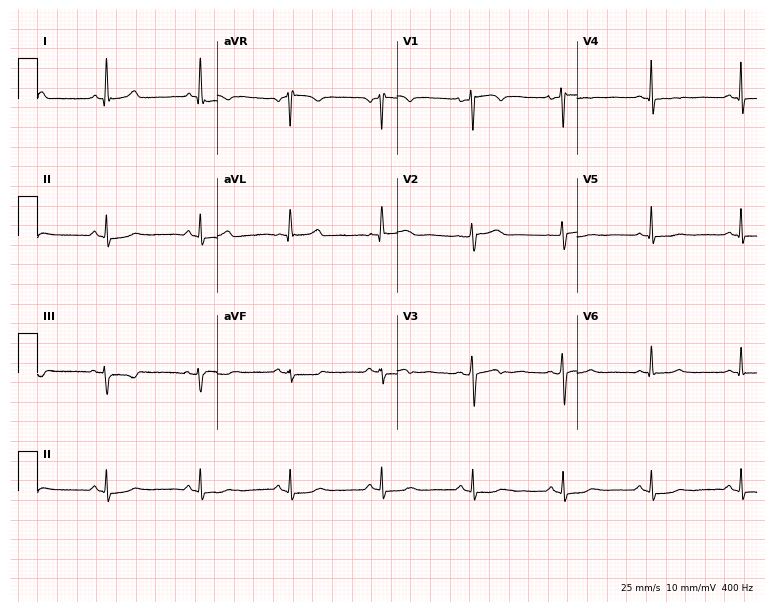
Resting 12-lead electrocardiogram. Patient: a woman, 52 years old. None of these six findings is recorded: first-degree AV block, right bundle branch block (RBBB), left bundle branch block (LBBB), sinus bradycardia, atrial fibrillation (AF), sinus tachycardia. Only these six findings were labelled.